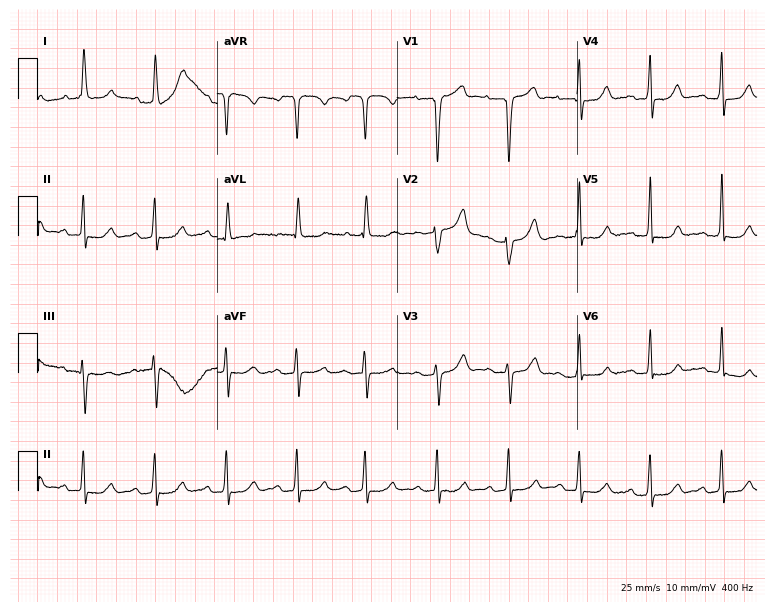
12-lead ECG from an 82-year-old female. No first-degree AV block, right bundle branch block, left bundle branch block, sinus bradycardia, atrial fibrillation or sinus tachycardia recorded for this tracing. Only these six findings were labelled.